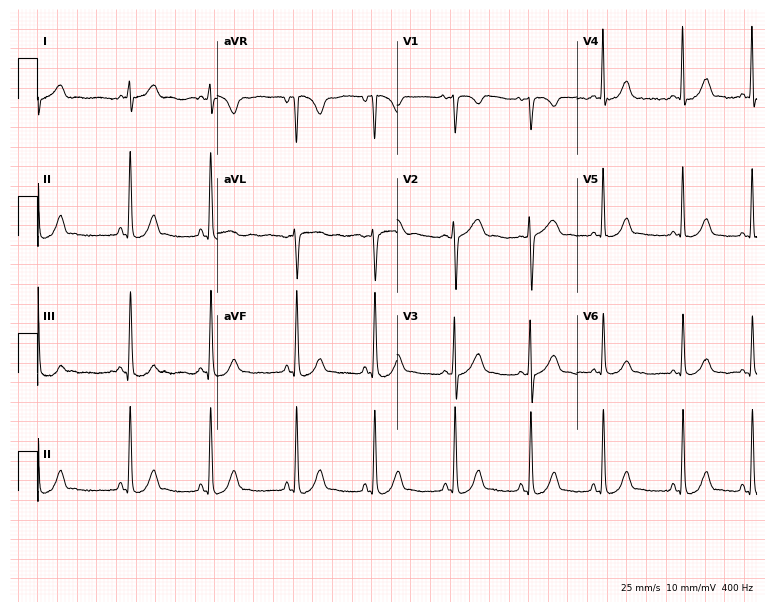
ECG (7.3-second recording at 400 Hz) — a 17-year-old female. Labelled as a normal ECG.